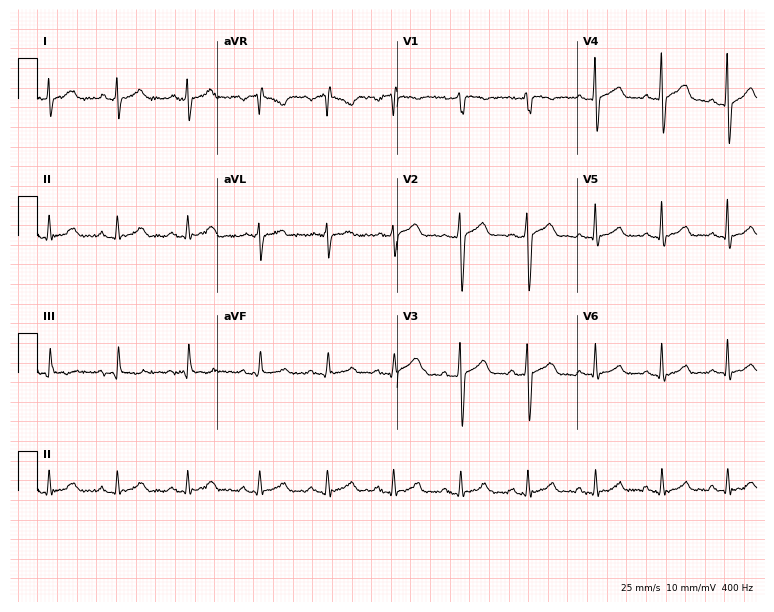
12-lead ECG from a 39-year-old male. Labelled as a normal ECG.